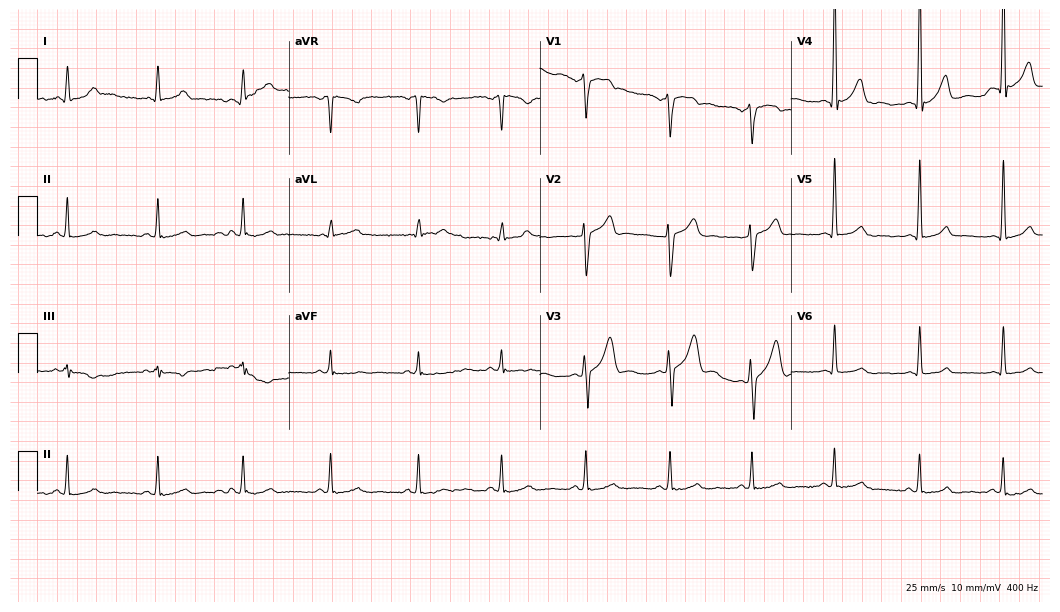
Resting 12-lead electrocardiogram. Patient: a 44-year-old male. None of these six findings is recorded: first-degree AV block, right bundle branch block, left bundle branch block, sinus bradycardia, atrial fibrillation, sinus tachycardia. Only these six findings were labelled.